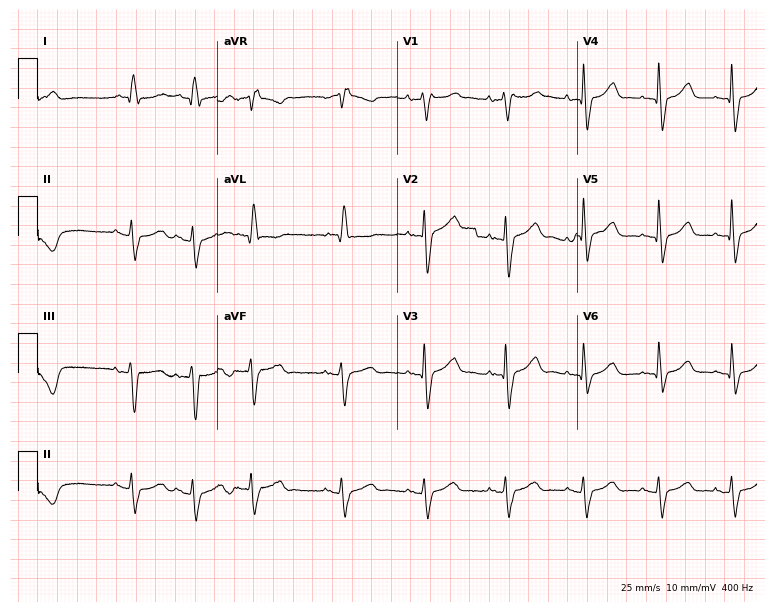
Resting 12-lead electrocardiogram (7.3-second recording at 400 Hz). Patient: a man, 73 years old. None of these six findings is recorded: first-degree AV block, right bundle branch block, left bundle branch block, sinus bradycardia, atrial fibrillation, sinus tachycardia.